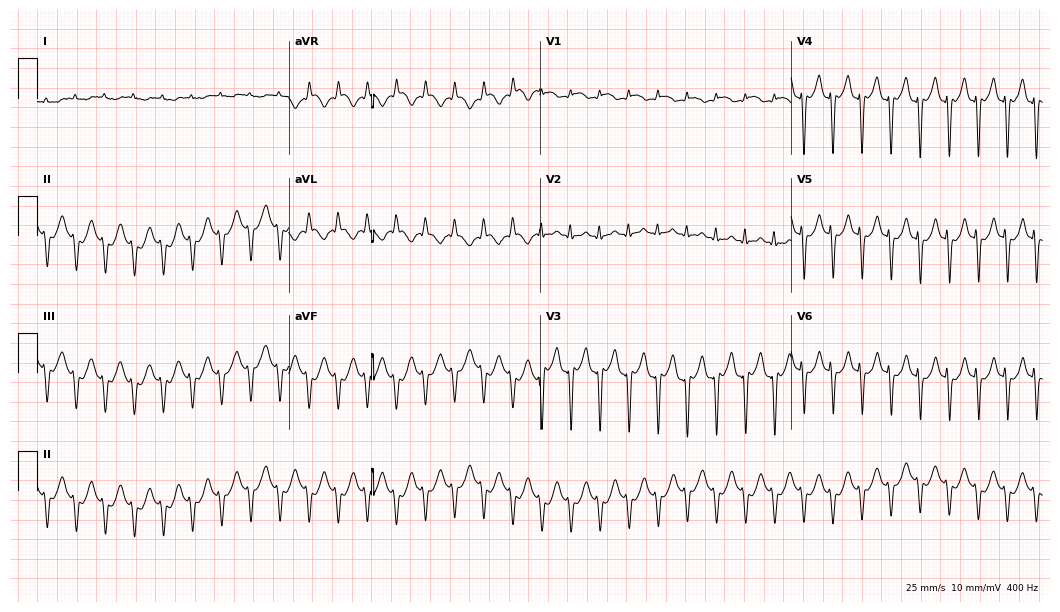
Standard 12-lead ECG recorded from a 58-year-old male. The tracing shows sinus tachycardia (a sinus rate of 100 beats per minute or more).